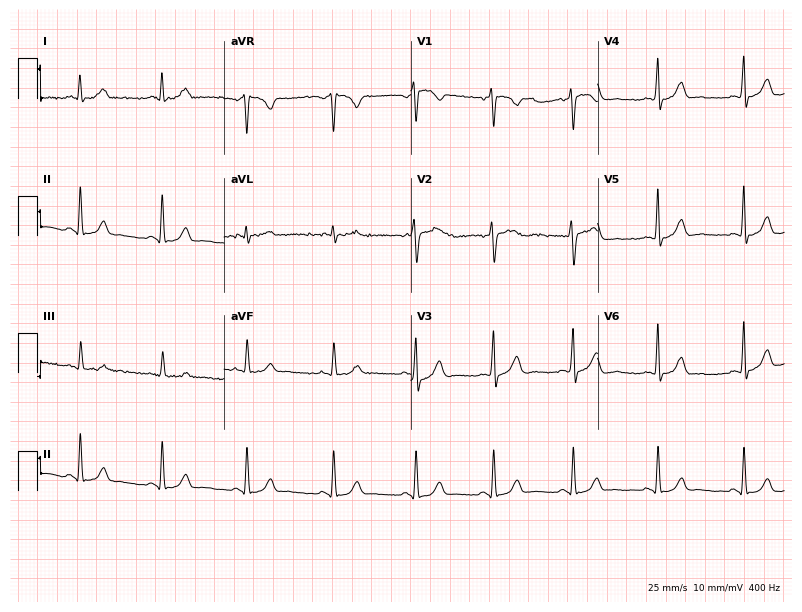
12-lead ECG from a woman, 34 years old (7.6-second recording at 400 Hz). Recorded interpretation: within normal limits.